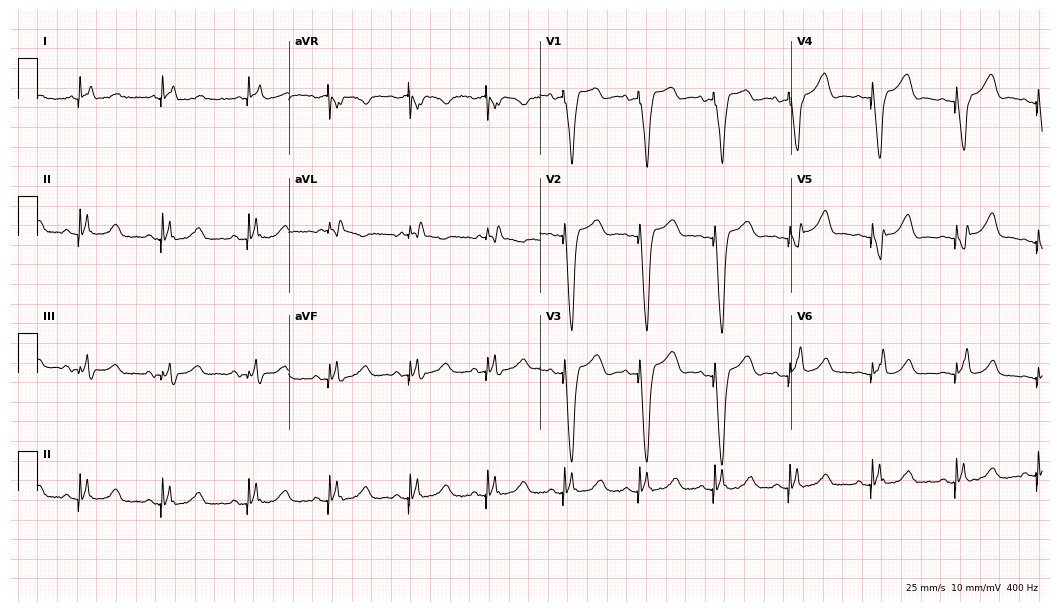
Resting 12-lead electrocardiogram (10.2-second recording at 400 Hz). Patient: a female, 81 years old. None of these six findings is recorded: first-degree AV block, right bundle branch block, left bundle branch block, sinus bradycardia, atrial fibrillation, sinus tachycardia. Findings outside these six are not listed.